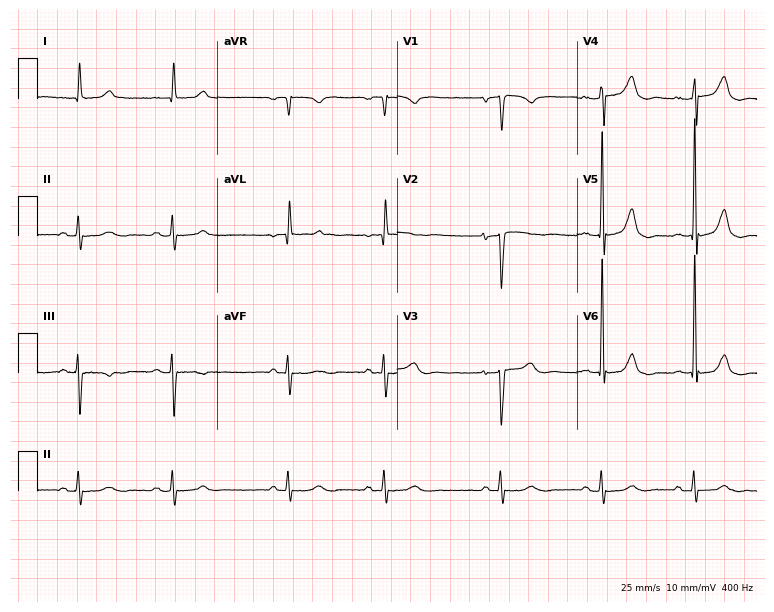
Standard 12-lead ECG recorded from a female patient, 79 years old. None of these six findings is recorded: first-degree AV block, right bundle branch block (RBBB), left bundle branch block (LBBB), sinus bradycardia, atrial fibrillation (AF), sinus tachycardia.